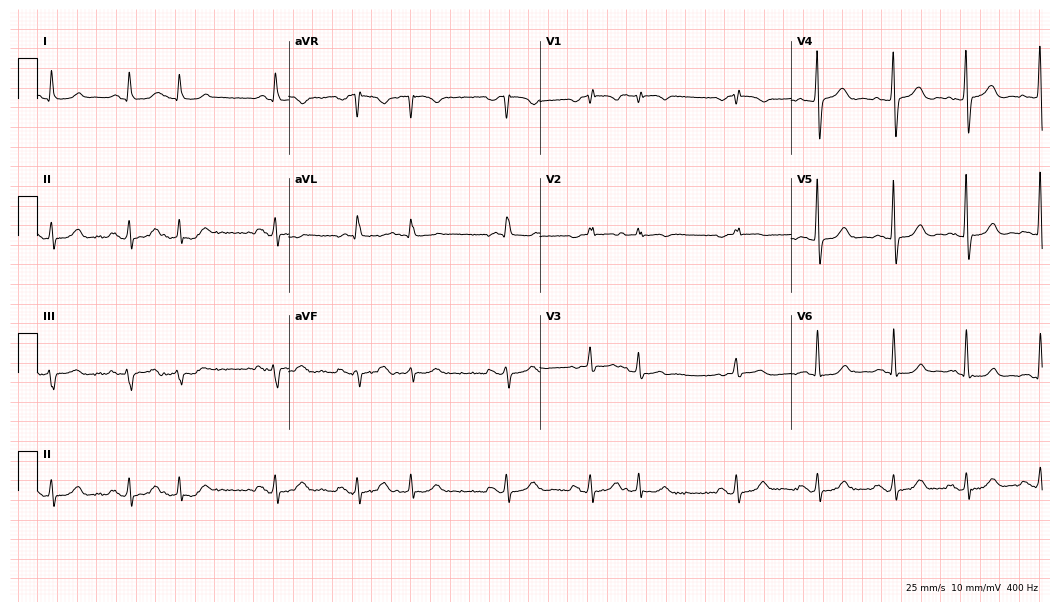
Standard 12-lead ECG recorded from a female, 76 years old (10.2-second recording at 400 Hz). None of these six findings is recorded: first-degree AV block, right bundle branch block, left bundle branch block, sinus bradycardia, atrial fibrillation, sinus tachycardia.